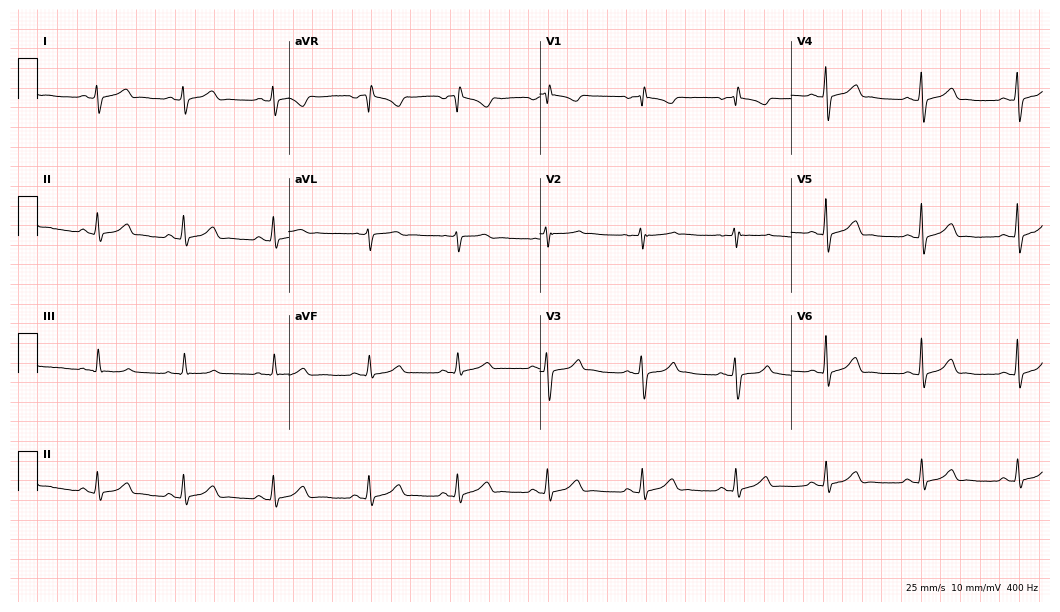
Standard 12-lead ECG recorded from a 24-year-old female (10.2-second recording at 400 Hz). None of these six findings is recorded: first-degree AV block, right bundle branch block, left bundle branch block, sinus bradycardia, atrial fibrillation, sinus tachycardia.